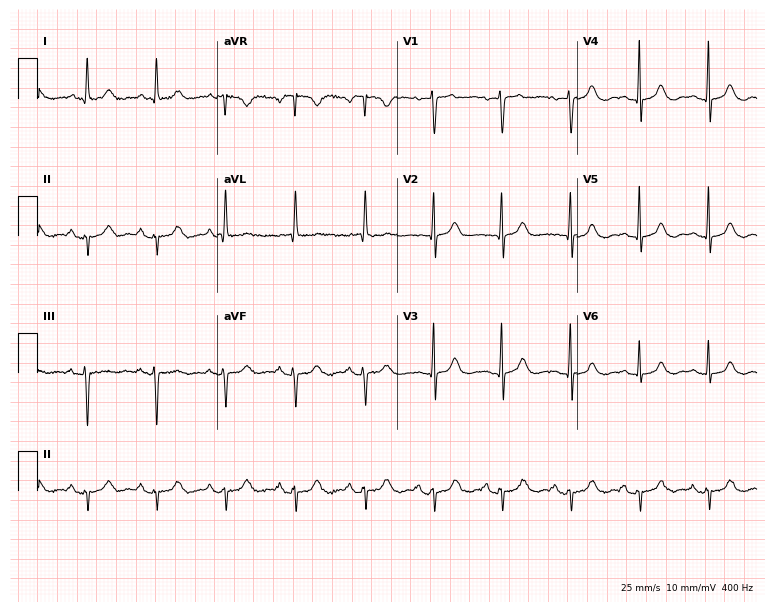
12-lead ECG (7.3-second recording at 400 Hz) from a 55-year-old female. Screened for six findings — first-degree AV block, right bundle branch block (RBBB), left bundle branch block (LBBB), sinus bradycardia, atrial fibrillation (AF), sinus tachycardia — none is recorded.